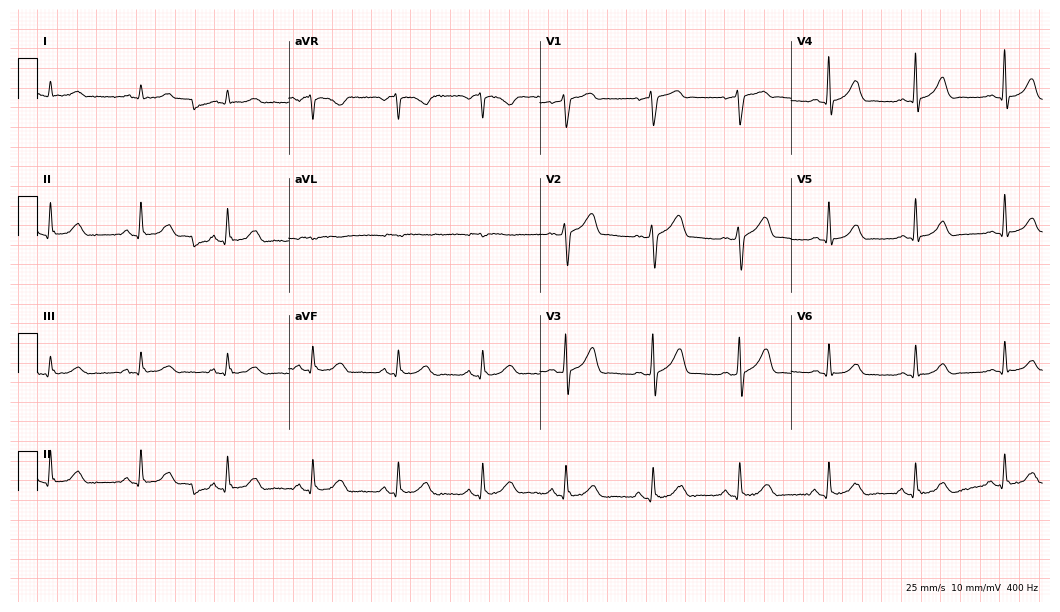
Resting 12-lead electrocardiogram. Patient: a 60-year-old male. None of these six findings is recorded: first-degree AV block, right bundle branch block, left bundle branch block, sinus bradycardia, atrial fibrillation, sinus tachycardia.